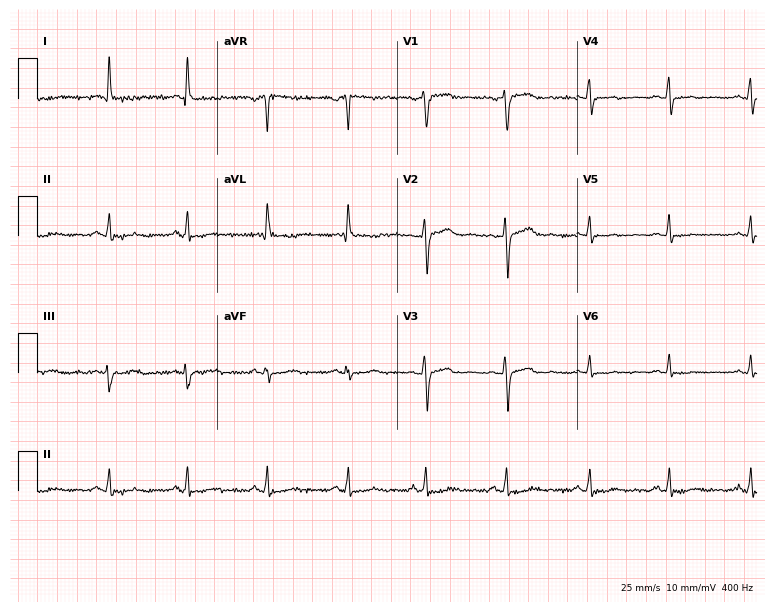
Electrocardiogram (7.3-second recording at 400 Hz), a 39-year-old female patient. Of the six screened findings (first-degree AV block, right bundle branch block, left bundle branch block, sinus bradycardia, atrial fibrillation, sinus tachycardia), none is recorded.